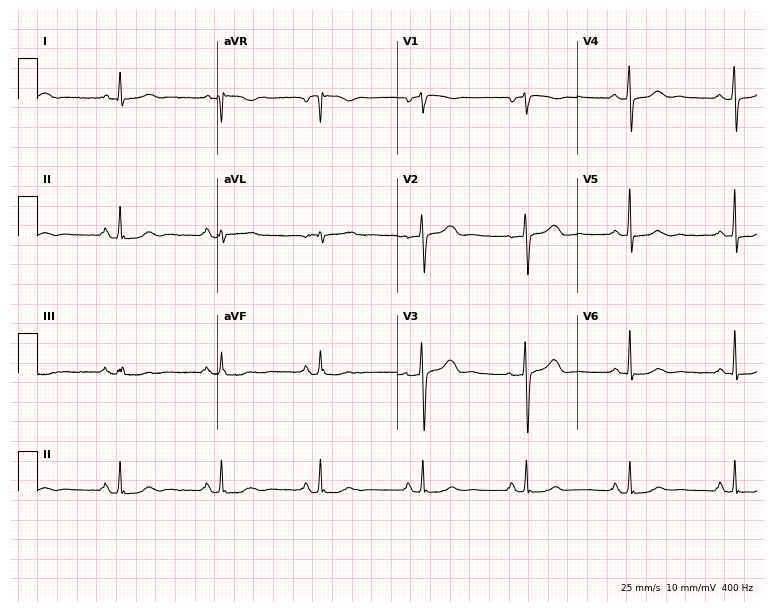
Resting 12-lead electrocardiogram. Patient: a 66-year-old female. Read as a normal ECG.